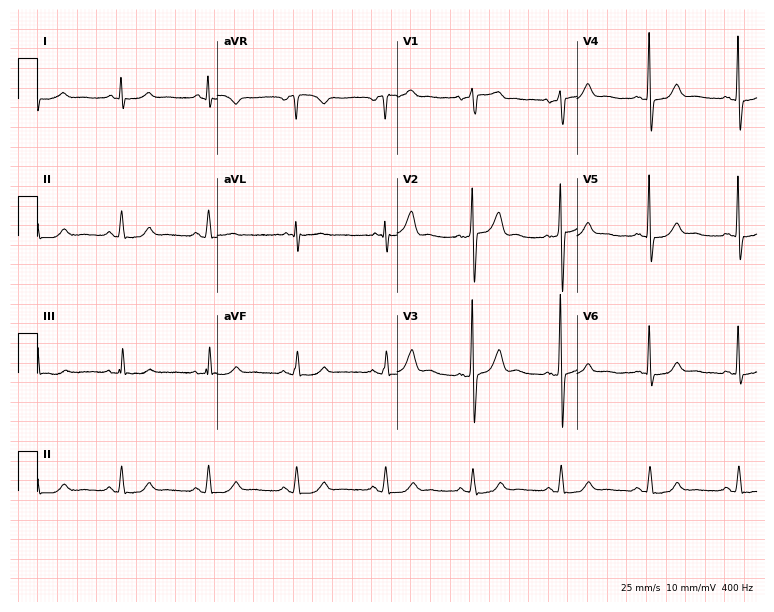
12-lead ECG from a 60-year-old male. Recorded interpretation: within normal limits.